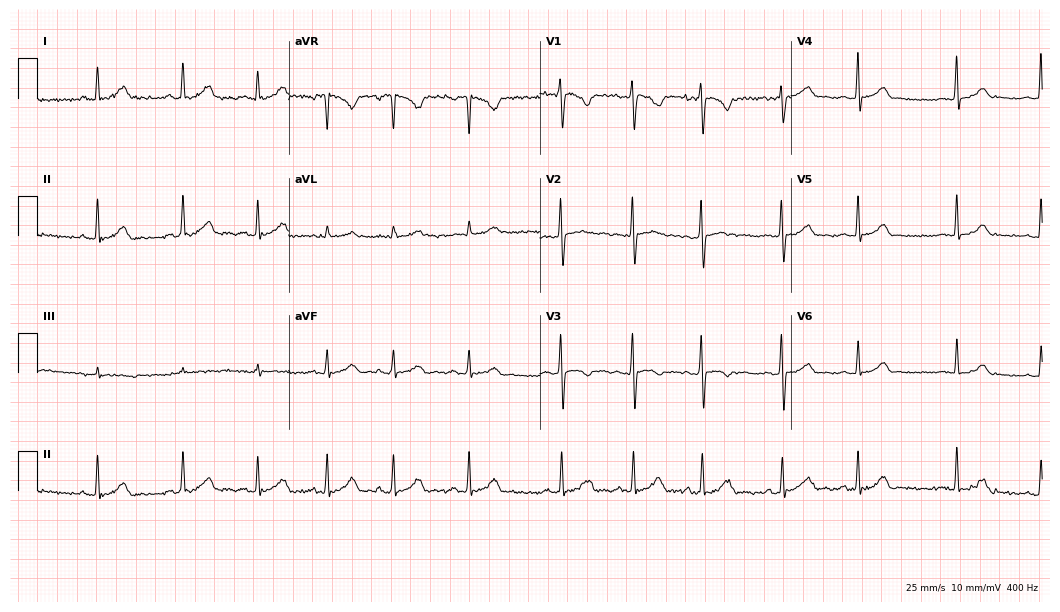
Resting 12-lead electrocardiogram. Patient: a female, 25 years old. Read as a normal ECG.